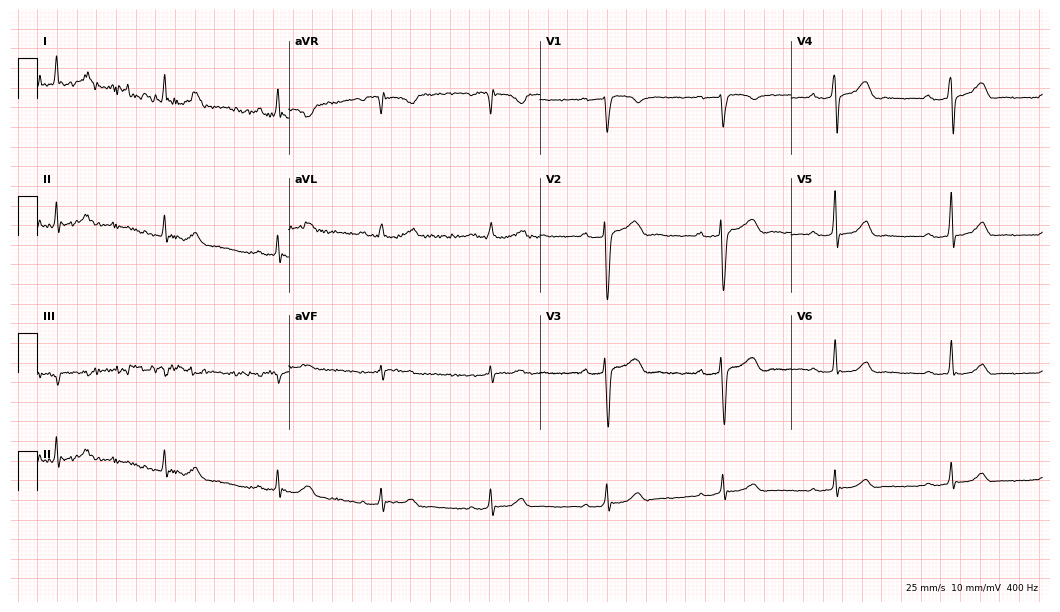
Standard 12-lead ECG recorded from a male, 57 years old. The tracing shows first-degree AV block, sinus bradycardia (a sinus rate of 50 beats per minute or less).